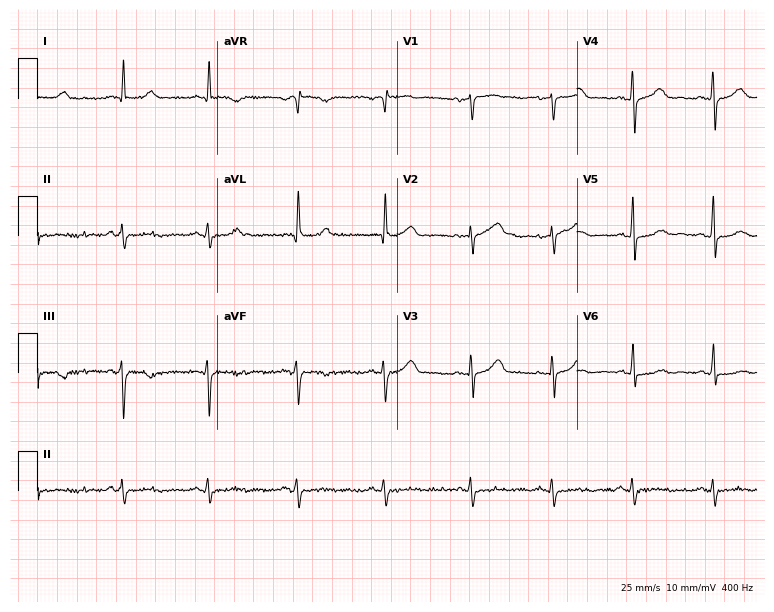
12-lead ECG from an 82-year-old female patient. Recorded interpretation: within normal limits.